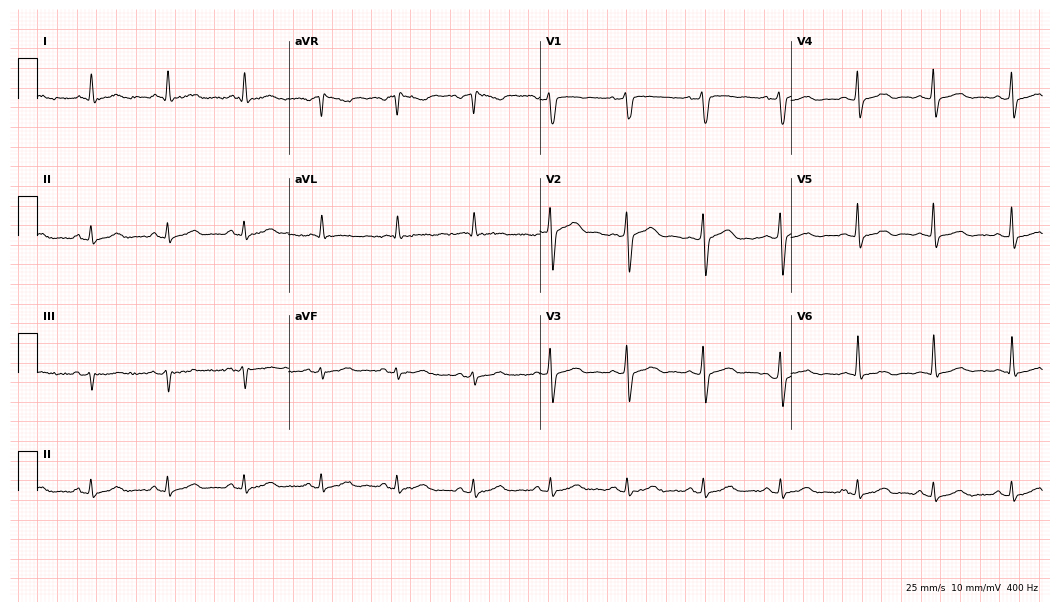
12-lead ECG from a 74-year-old male patient. No first-degree AV block, right bundle branch block, left bundle branch block, sinus bradycardia, atrial fibrillation or sinus tachycardia recorded for this tracing. Other findings, if any, are not listed.